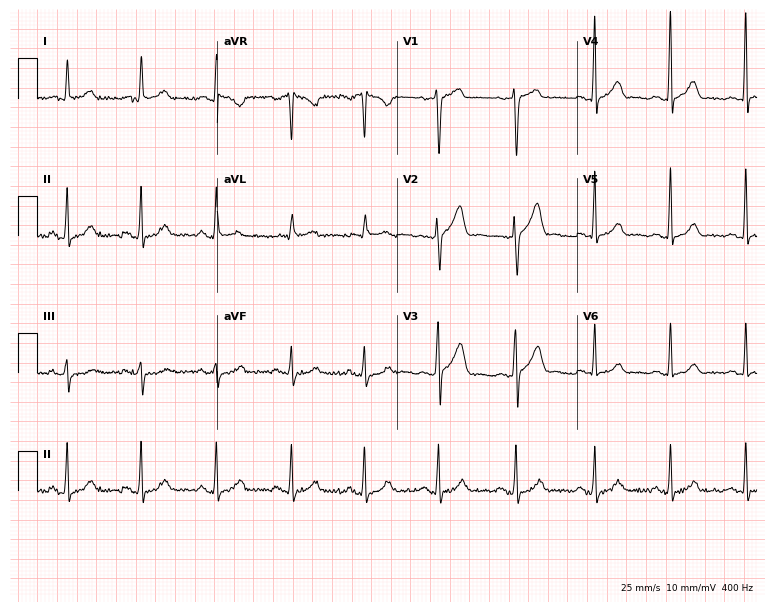
Electrocardiogram, a male, 43 years old. Overall reading on record: normal ECG.